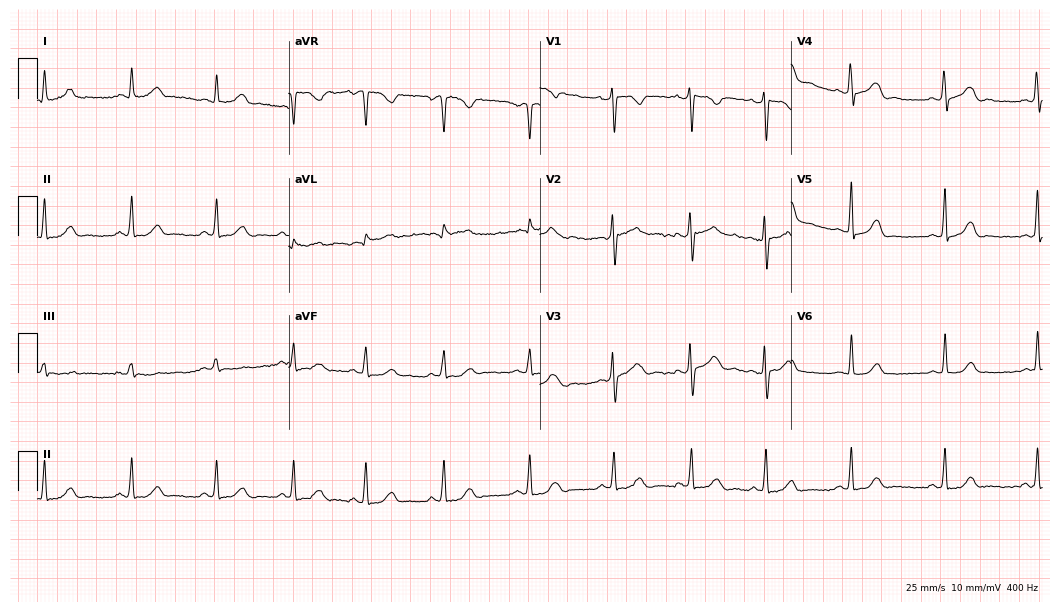
12-lead ECG from a 26-year-old woman (10.2-second recording at 400 Hz). Recorded interpretation: within normal limits.